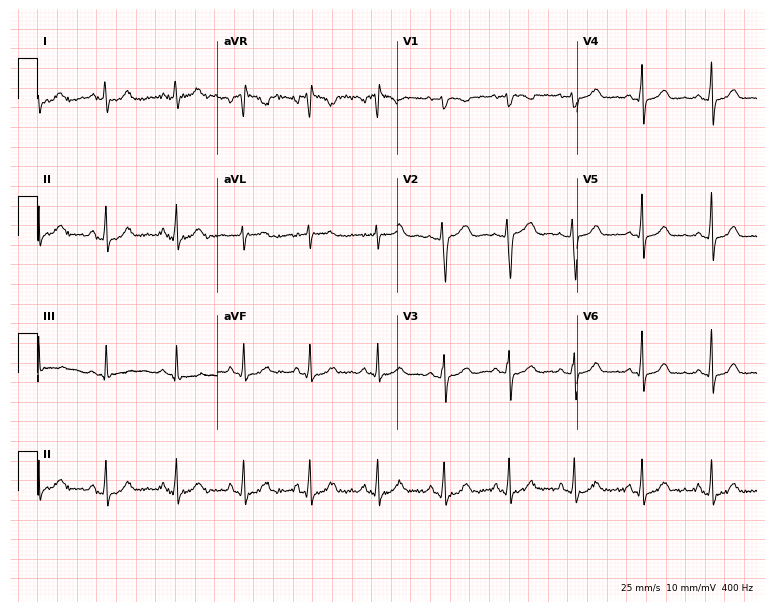
Electrocardiogram, a female, 34 years old. Overall reading on record: normal ECG.